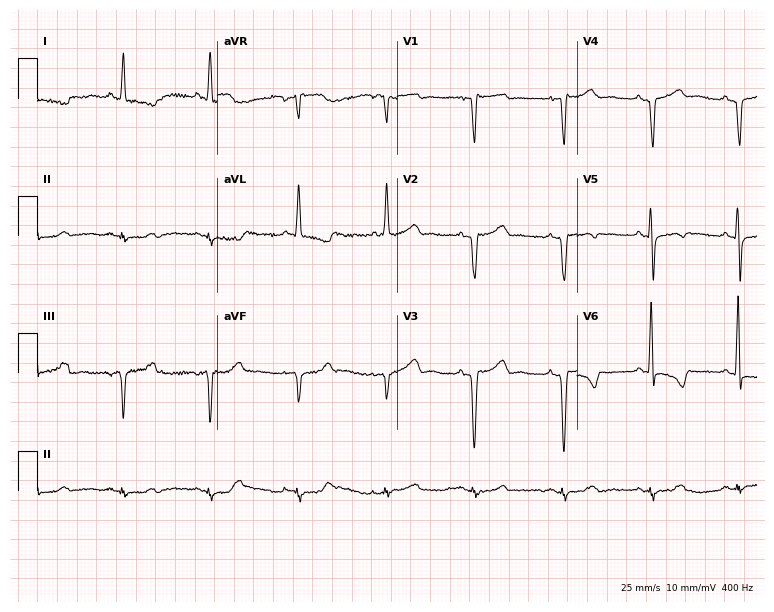
Standard 12-lead ECG recorded from a 66-year-old male patient (7.3-second recording at 400 Hz). None of these six findings is recorded: first-degree AV block, right bundle branch block (RBBB), left bundle branch block (LBBB), sinus bradycardia, atrial fibrillation (AF), sinus tachycardia.